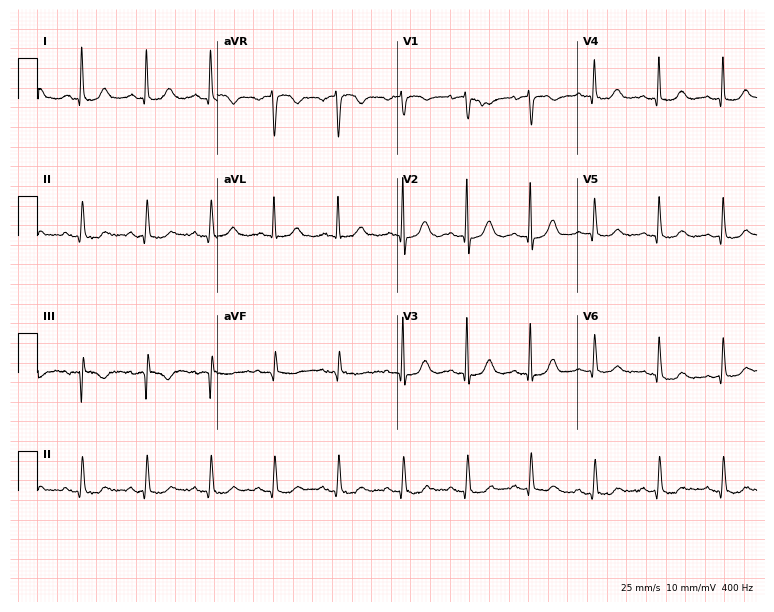
12-lead ECG from a 76-year-old female (7.3-second recording at 400 Hz). No first-degree AV block, right bundle branch block (RBBB), left bundle branch block (LBBB), sinus bradycardia, atrial fibrillation (AF) or sinus tachycardia recorded for this tracing.